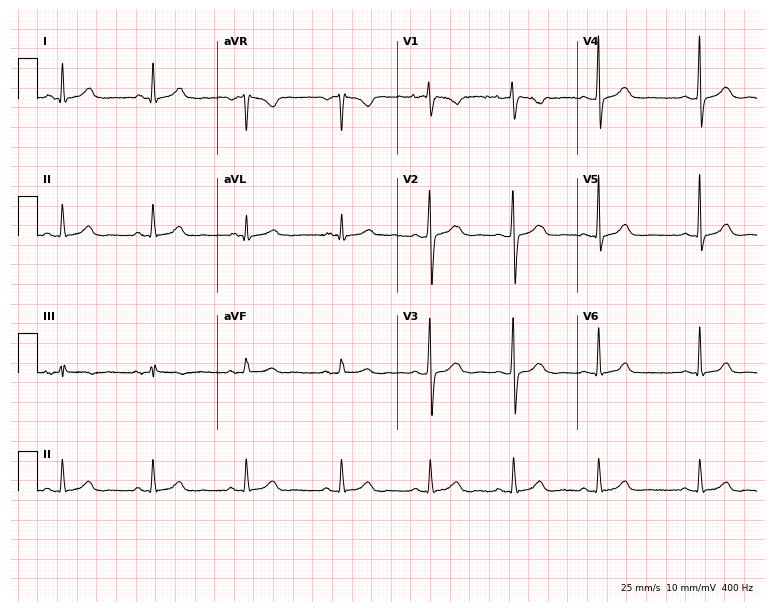
ECG — a 22-year-old woman. Labelled as a normal ECG.